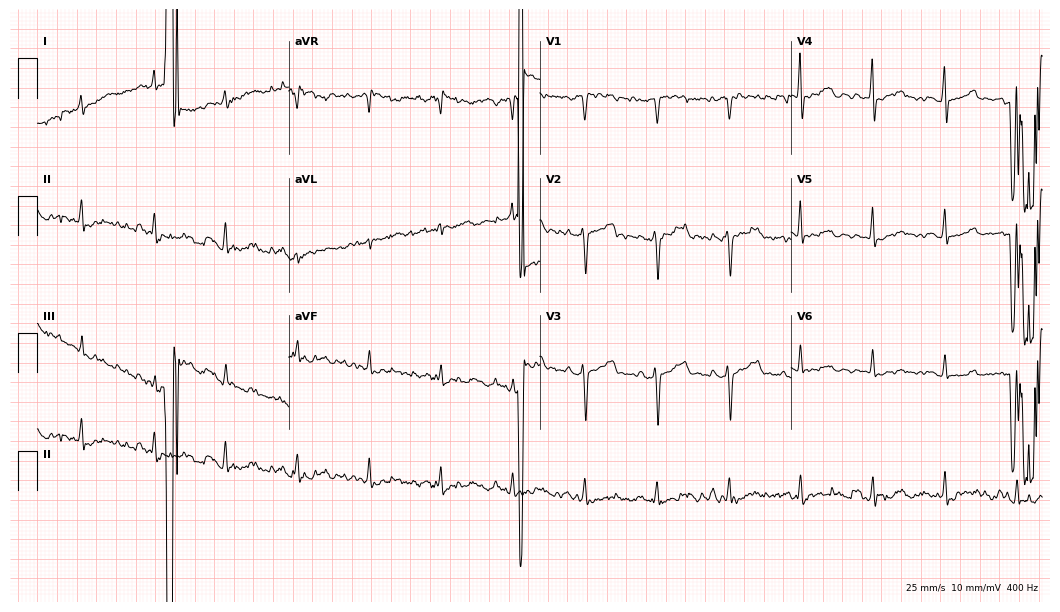
12-lead ECG (10.2-second recording at 400 Hz) from a 55-year-old woman. Screened for six findings — first-degree AV block, right bundle branch block, left bundle branch block, sinus bradycardia, atrial fibrillation, sinus tachycardia — none is recorded. Other findings, if any, are not listed.